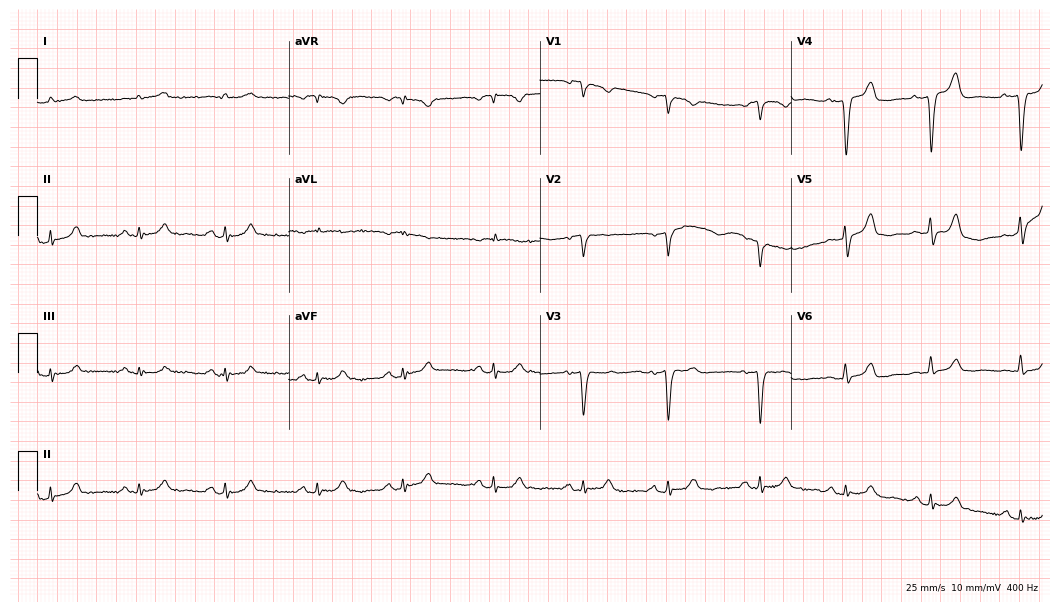
12-lead ECG from a man, 59 years old. No first-degree AV block, right bundle branch block (RBBB), left bundle branch block (LBBB), sinus bradycardia, atrial fibrillation (AF) or sinus tachycardia recorded for this tracing.